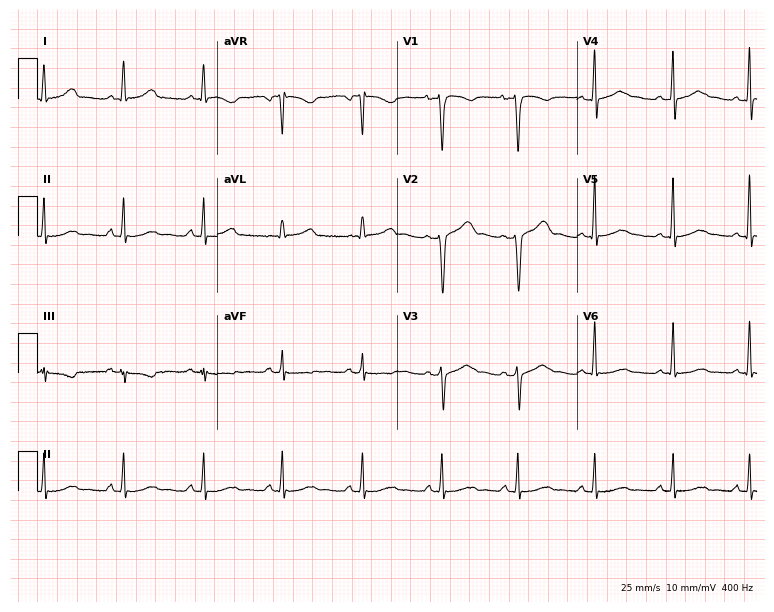
ECG — a 31-year-old woman. Labelled as a normal ECG.